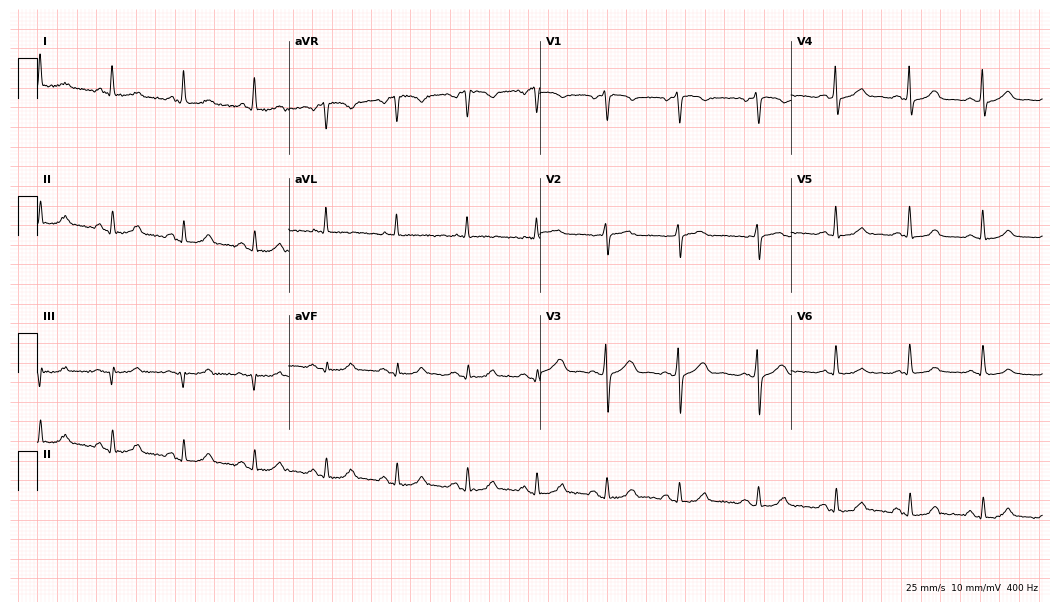
ECG (10.2-second recording at 400 Hz) — a female patient, 55 years old. Screened for six findings — first-degree AV block, right bundle branch block, left bundle branch block, sinus bradycardia, atrial fibrillation, sinus tachycardia — none is recorded. Other findings, if any, are not listed.